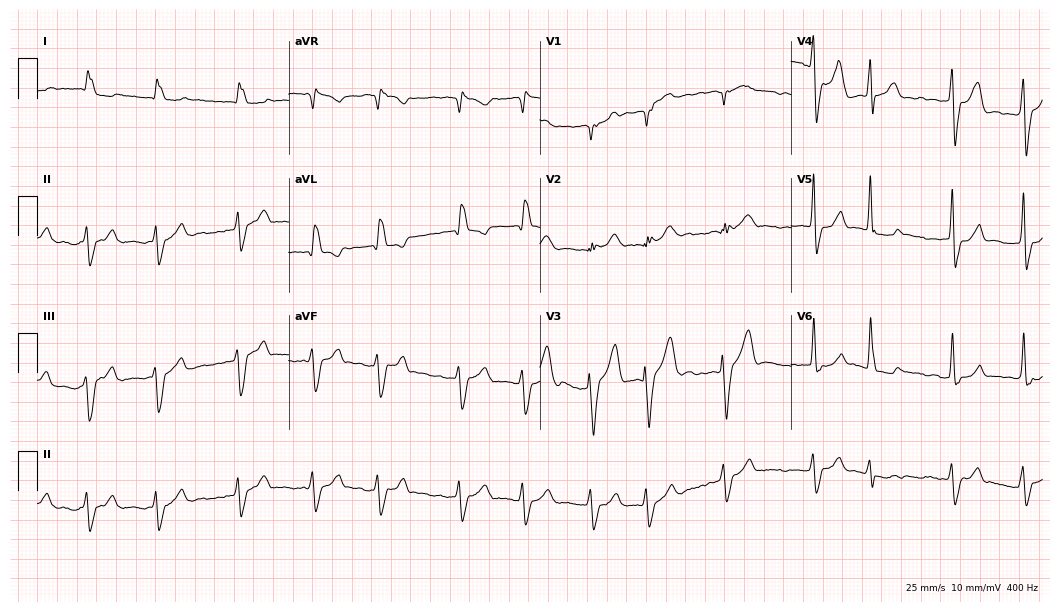
12-lead ECG from an 85-year-old male (10.2-second recording at 400 Hz). Shows left bundle branch block, atrial fibrillation.